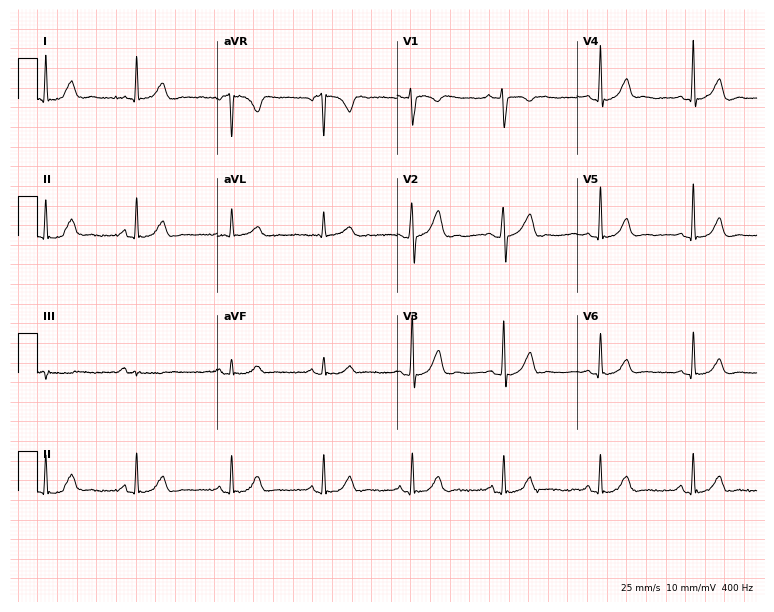
Electrocardiogram, a female patient, 33 years old. Overall reading on record: normal ECG.